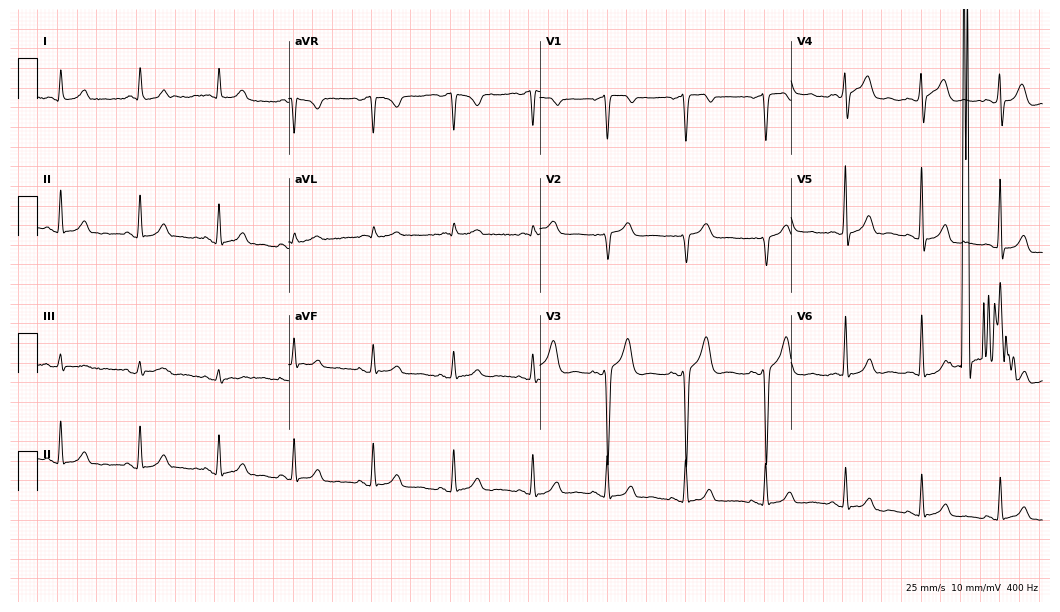
Electrocardiogram (10.2-second recording at 400 Hz), a male, 46 years old. Overall reading on record: normal ECG.